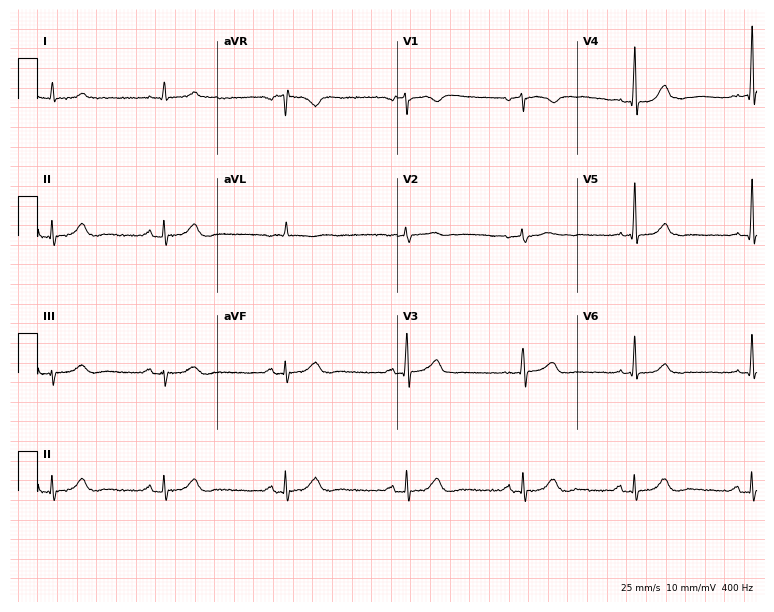
ECG — a 76-year-old male patient. Findings include sinus bradycardia (a sinus rate of 50 beats per minute or less).